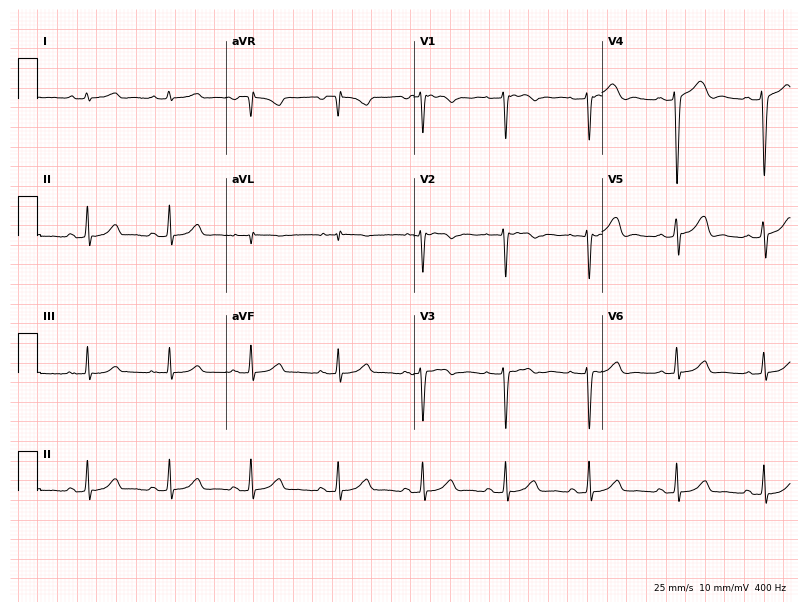
Electrocardiogram (7.7-second recording at 400 Hz), a 28-year-old woman. Of the six screened findings (first-degree AV block, right bundle branch block, left bundle branch block, sinus bradycardia, atrial fibrillation, sinus tachycardia), none is recorded.